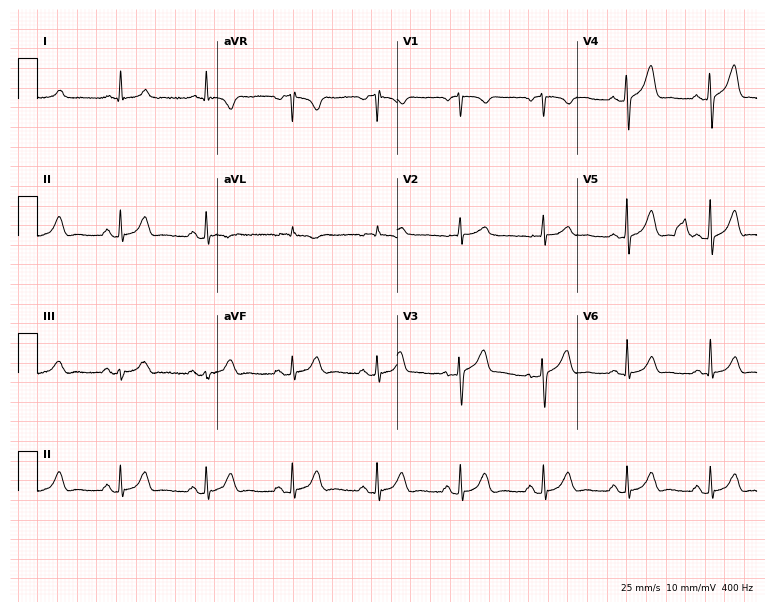
Electrocardiogram (7.3-second recording at 400 Hz), a 74-year-old male. Overall reading on record: normal ECG.